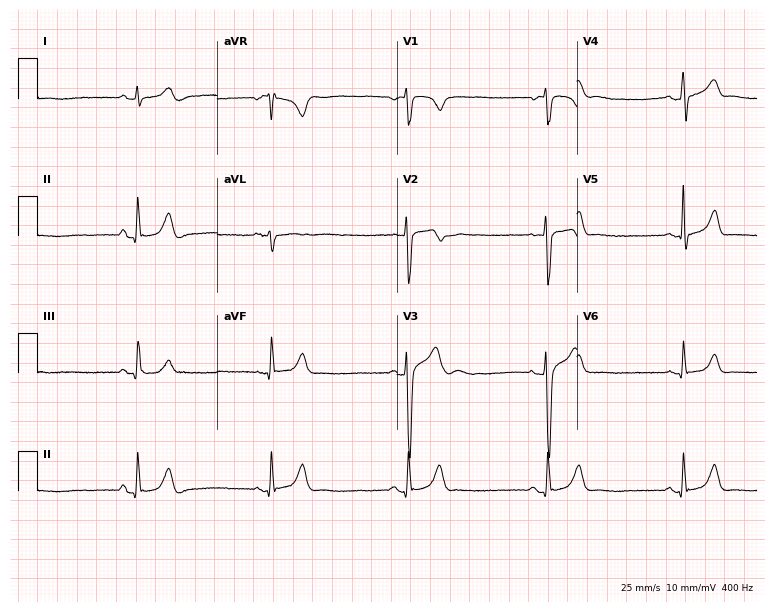
12-lead ECG from a male patient, 21 years old (7.3-second recording at 400 Hz). Shows sinus bradycardia (a sinus rate of 50 beats per minute or less).